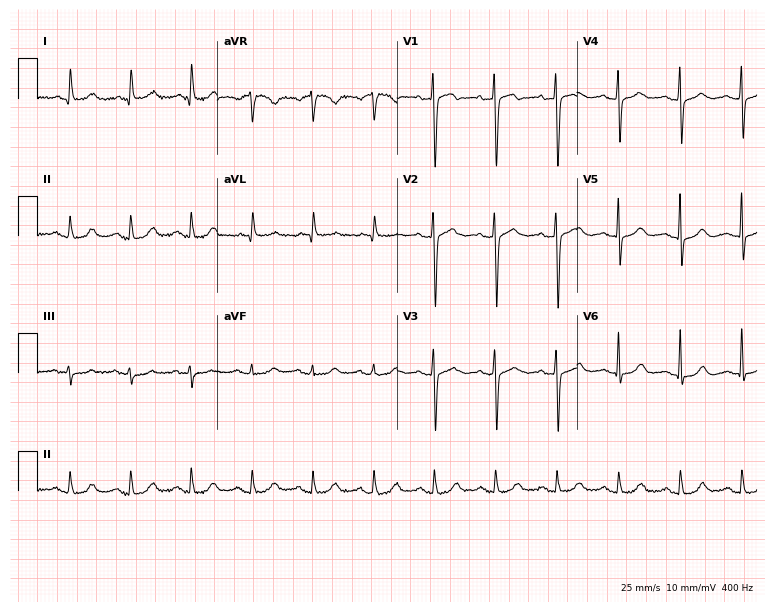
12-lead ECG (7.3-second recording at 400 Hz) from a 79-year-old female patient. Labelled as a normal ECG.